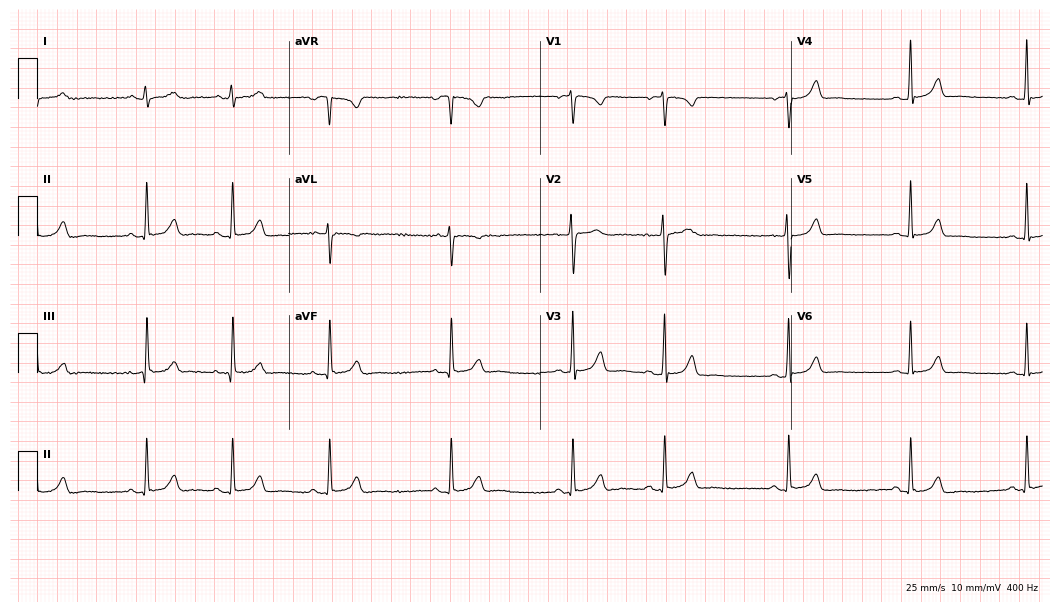
12-lead ECG from a 17-year-old woman. No first-degree AV block, right bundle branch block (RBBB), left bundle branch block (LBBB), sinus bradycardia, atrial fibrillation (AF) or sinus tachycardia recorded for this tracing. Findings outside these six are not listed.